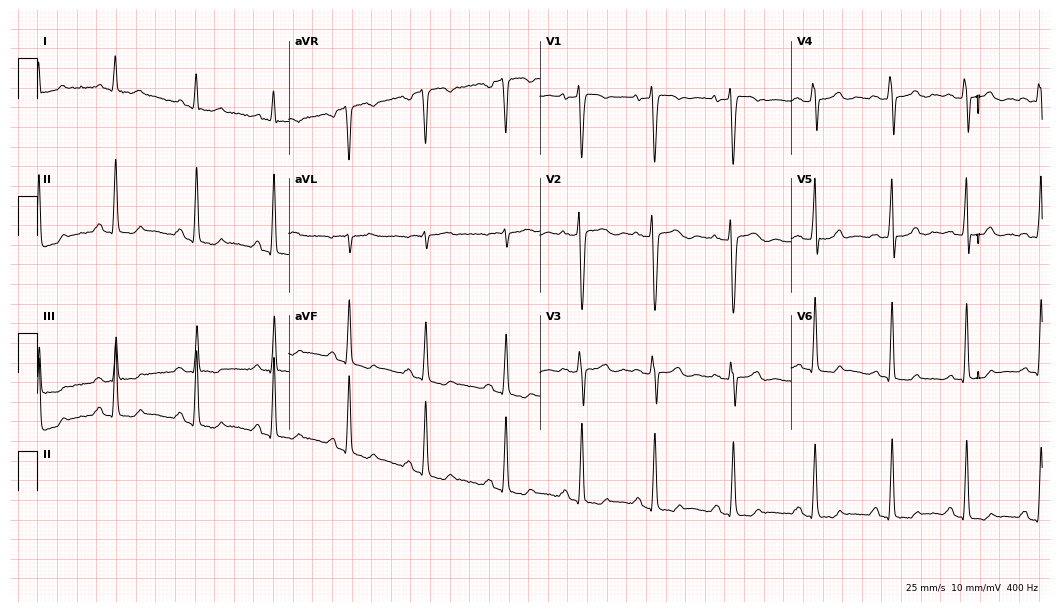
Standard 12-lead ECG recorded from a 52-year-old female patient. Read as a normal ECG.